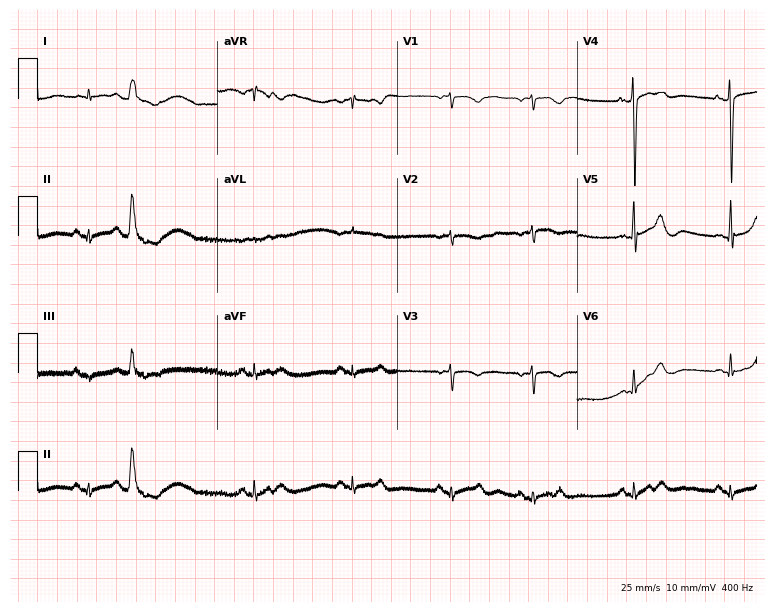
12-lead ECG from a female, 79 years old. Screened for six findings — first-degree AV block, right bundle branch block, left bundle branch block, sinus bradycardia, atrial fibrillation, sinus tachycardia — none is recorded.